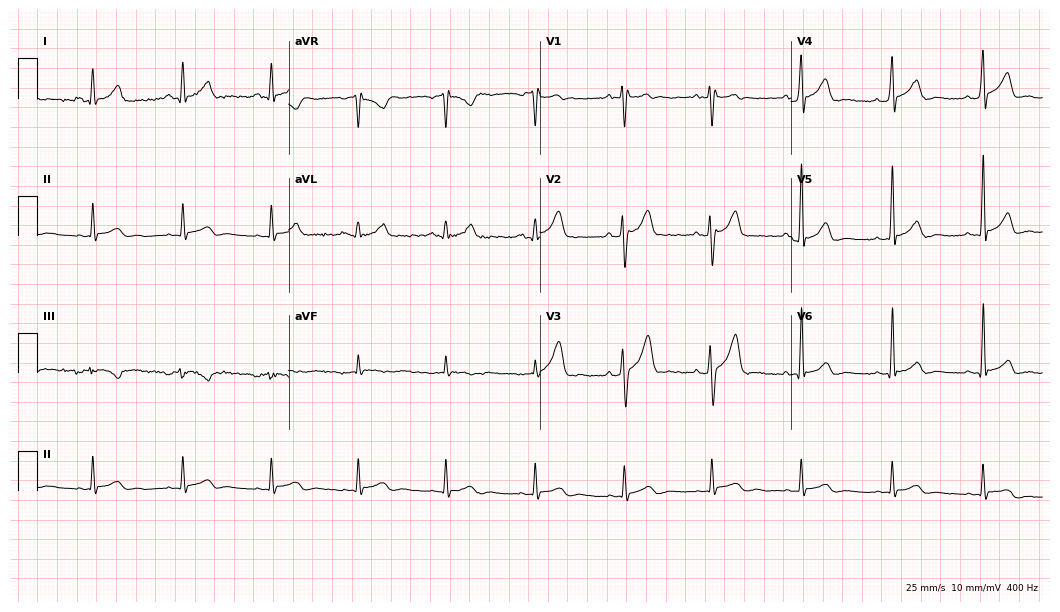
12-lead ECG from a 25-year-old man (10.2-second recording at 400 Hz). No first-degree AV block, right bundle branch block (RBBB), left bundle branch block (LBBB), sinus bradycardia, atrial fibrillation (AF) or sinus tachycardia recorded for this tracing.